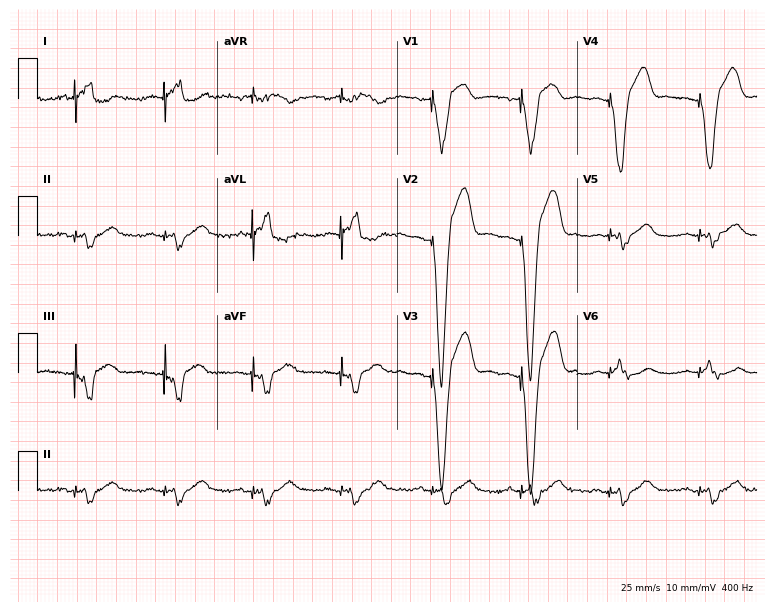
ECG (7.3-second recording at 400 Hz) — an 82-year-old male. Screened for six findings — first-degree AV block, right bundle branch block, left bundle branch block, sinus bradycardia, atrial fibrillation, sinus tachycardia — none is recorded. Findings outside these six are not listed.